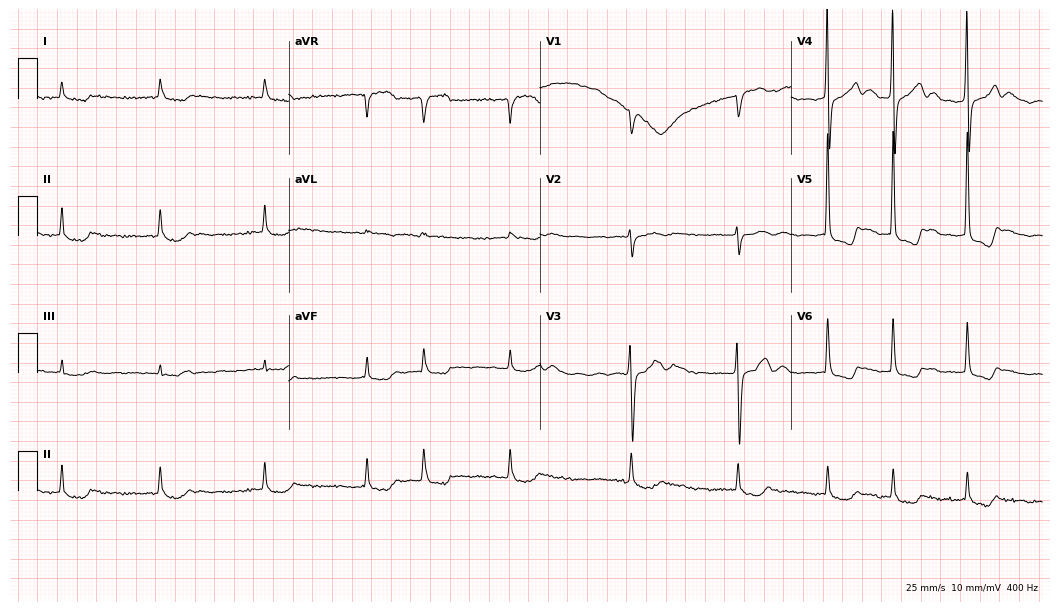
Electrocardiogram, a male, 85 years old. Interpretation includes atrial fibrillation (AF).